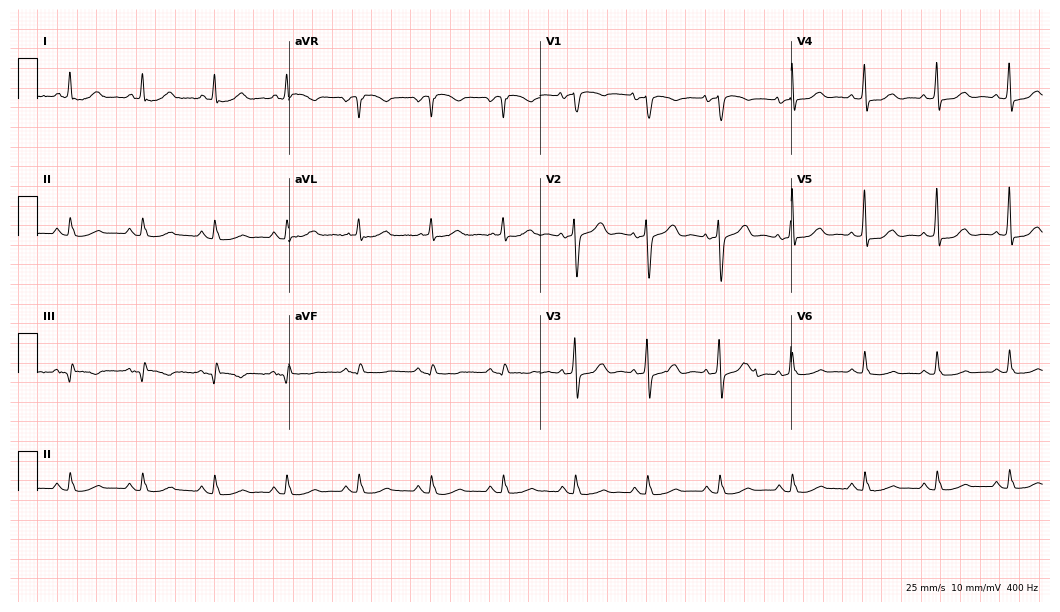
ECG — a female, 84 years old. Labelled as a normal ECG.